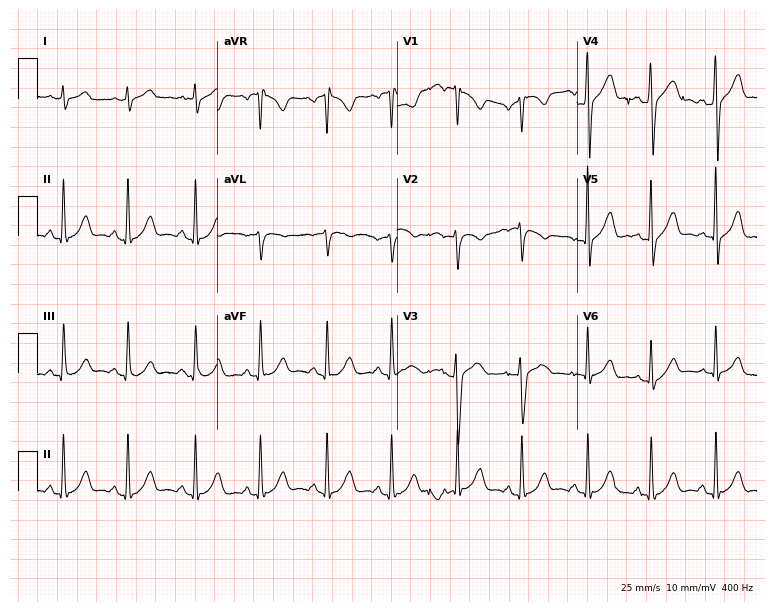
Resting 12-lead electrocardiogram. Patient: a 35-year-old man. Read as a normal ECG.